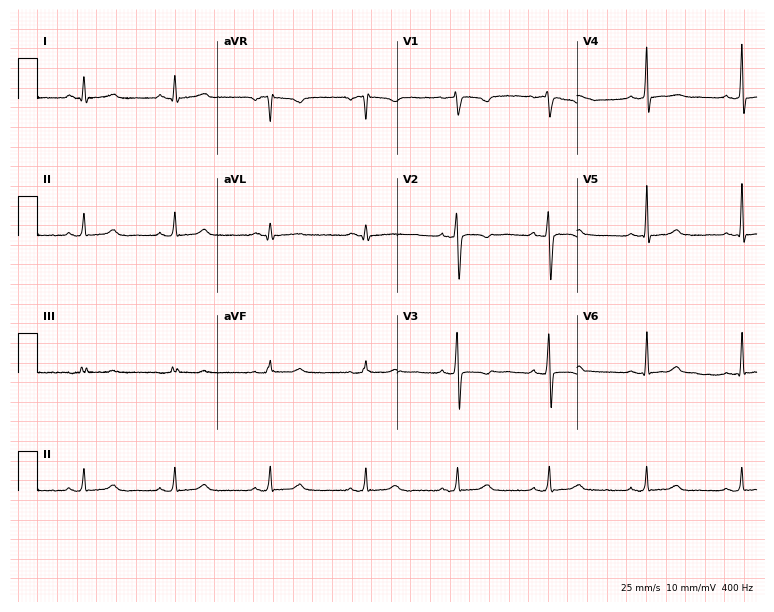
12-lead ECG (7.3-second recording at 400 Hz) from a 42-year-old female patient. Labelled as a normal ECG.